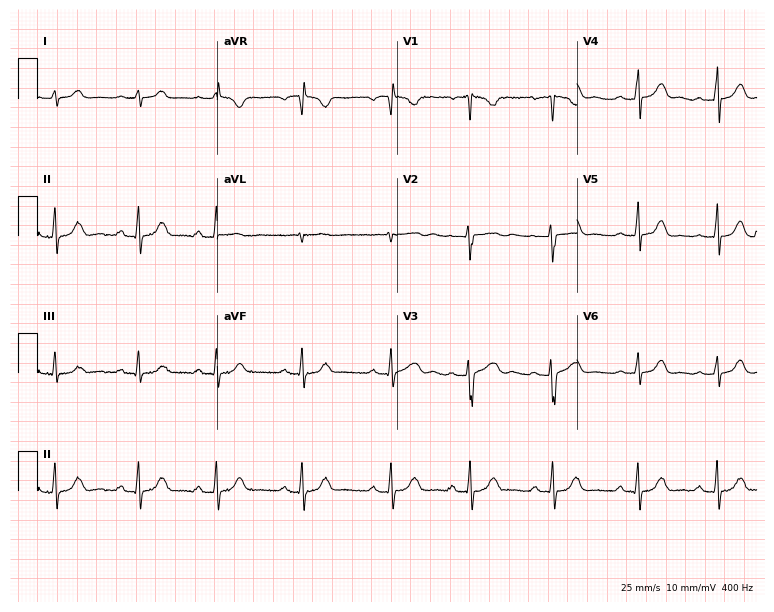
Resting 12-lead electrocardiogram (7.3-second recording at 400 Hz). Patient: a woman, 27 years old. None of these six findings is recorded: first-degree AV block, right bundle branch block, left bundle branch block, sinus bradycardia, atrial fibrillation, sinus tachycardia.